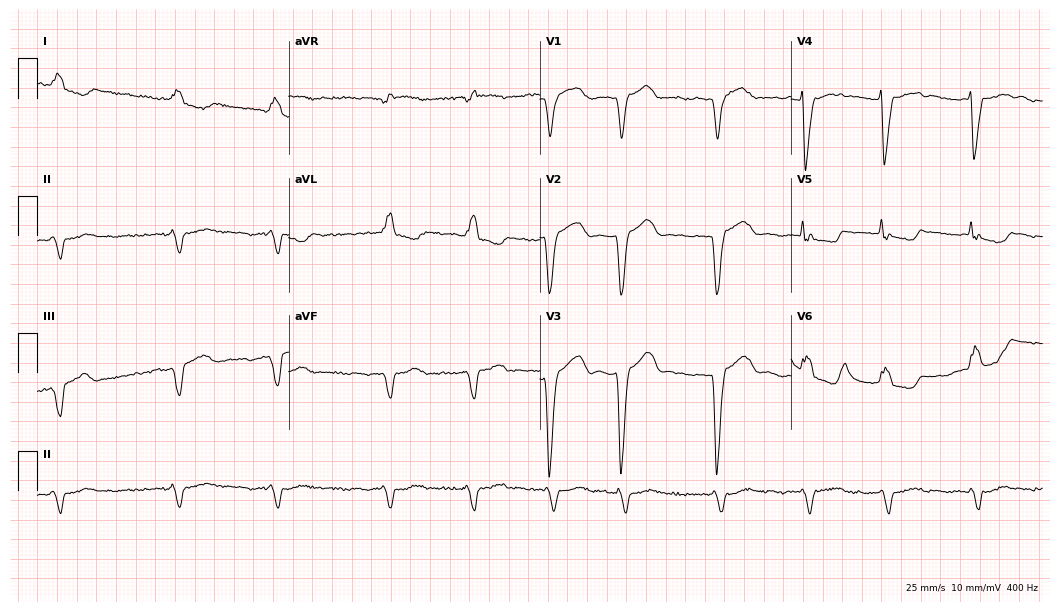
Electrocardiogram (10.2-second recording at 400 Hz), a woman, 79 years old. Interpretation includes left bundle branch block (LBBB), atrial fibrillation (AF).